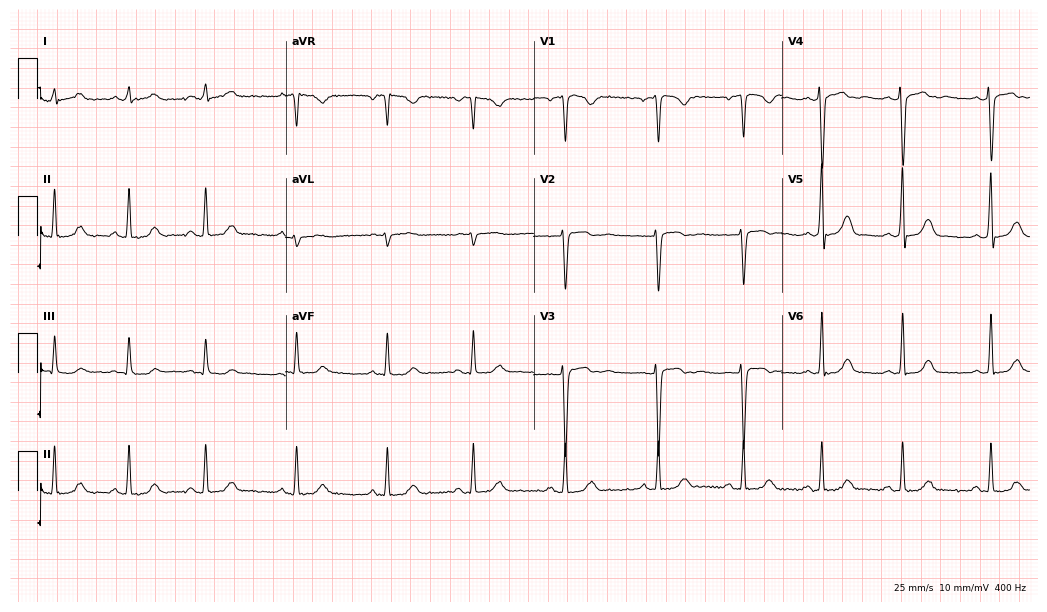
ECG (10.1-second recording at 400 Hz) — a woman, 27 years old. Screened for six findings — first-degree AV block, right bundle branch block (RBBB), left bundle branch block (LBBB), sinus bradycardia, atrial fibrillation (AF), sinus tachycardia — none is recorded.